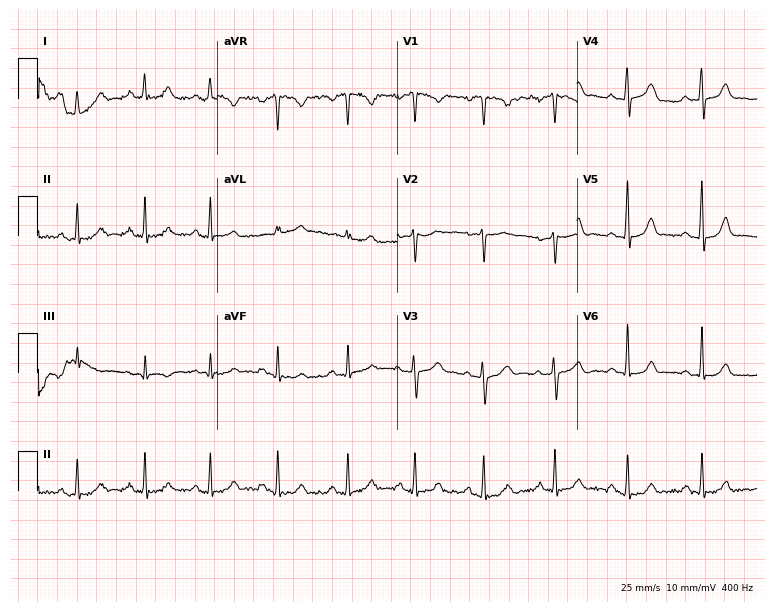
Standard 12-lead ECG recorded from a 32-year-old female. Read as a normal ECG.